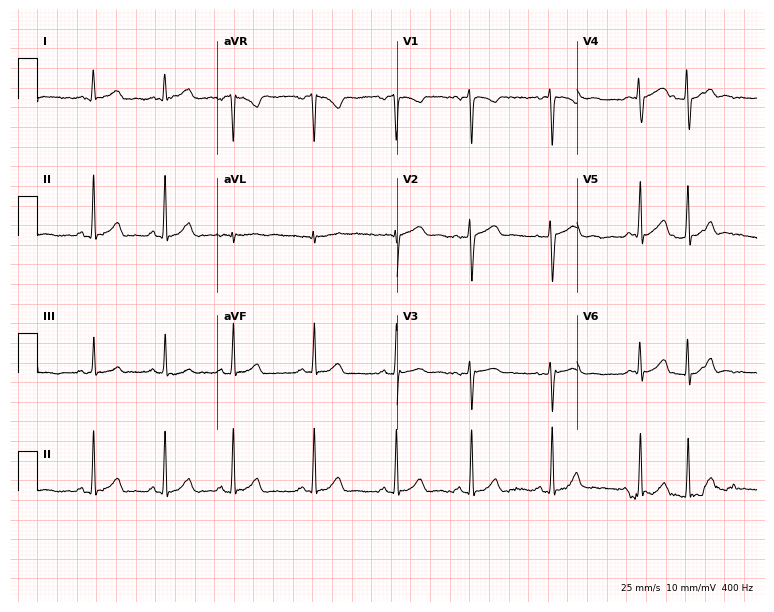
12-lead ECG from an 18-year-old female patient. Recorded interpretation: within normal limits.